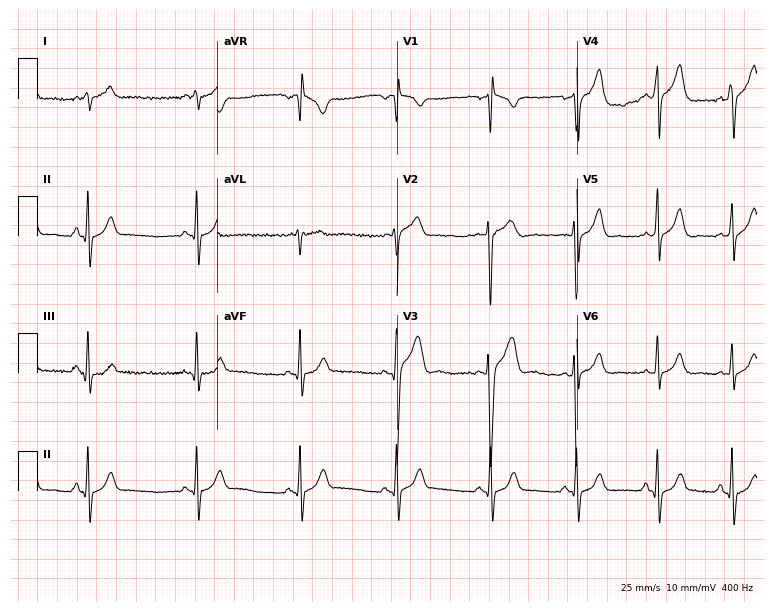
Standard 12-lead ECG recorded from a male, 22 years old. Read as a normal ECG.